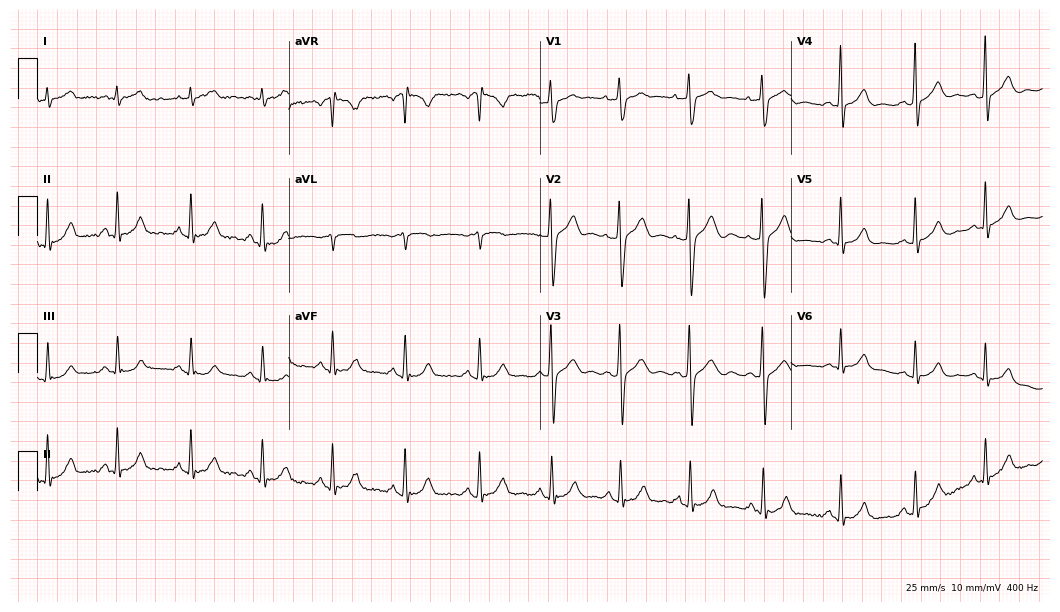
Resting 12-lead electrocardiogram. Patient: a male, 30 years old. None of these six findings is recorded: first-degree AV block, right bundle branch block, left bundle branch block, sinus bradycardia, atrial fibrillation, sinus tachycardia.